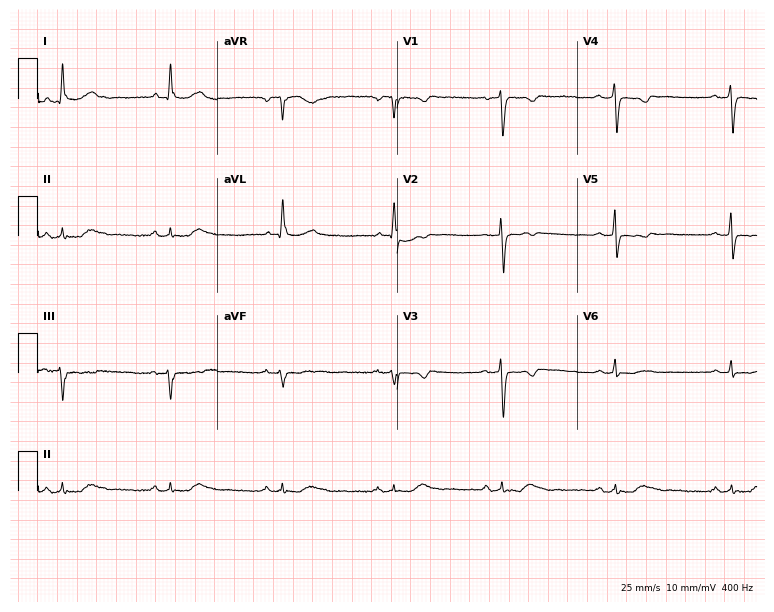
Resting 12-lead electrocardiogram (7.3-second recording at 400 Hz). Patient: a female, 60 years old. None of these six findings is recorded: first-degree AV block, right bundle branch block, left bundle branch block, sinus bradycardia, atrial fibrillation, sinus tachycardia.